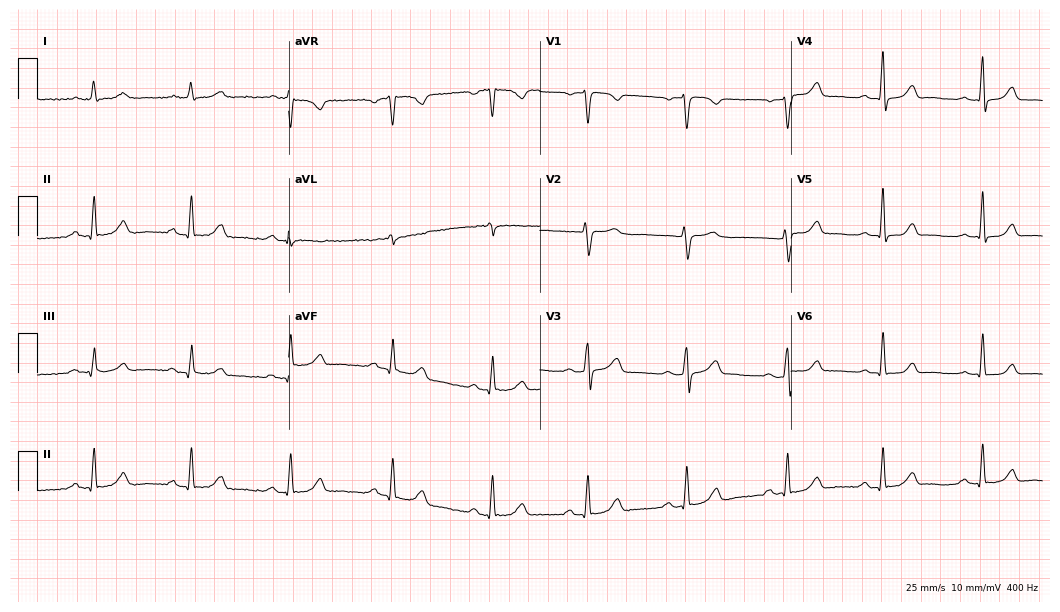
Resting 12-lead electrocardiogram. Patient: a woman, 43 years old. Read as a normal ECG.